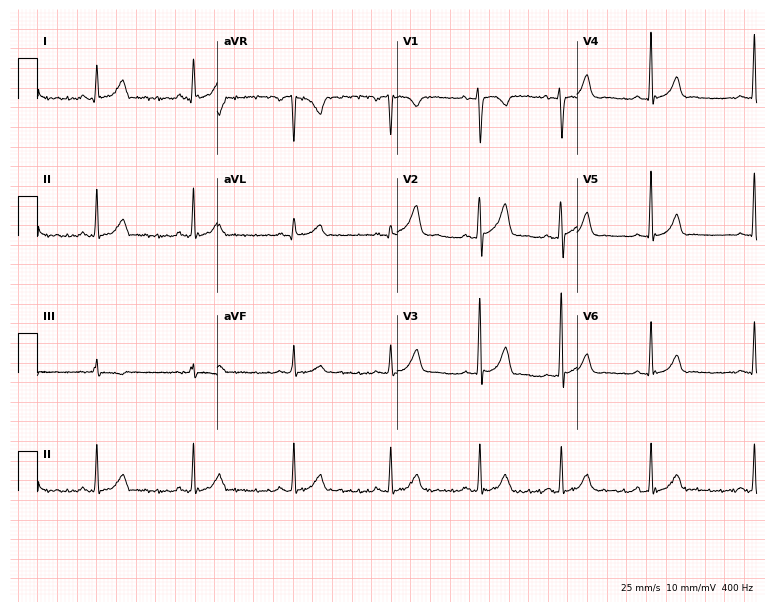
12-lead ECG from a 36-year-old woman (7.3-second recording at 400 Hz). No first-degree AV block, right bundle branch block, left bundle branch block, sinus bradycardia, atrial fibrillation or sinus tachycardia recorded for this tracing.